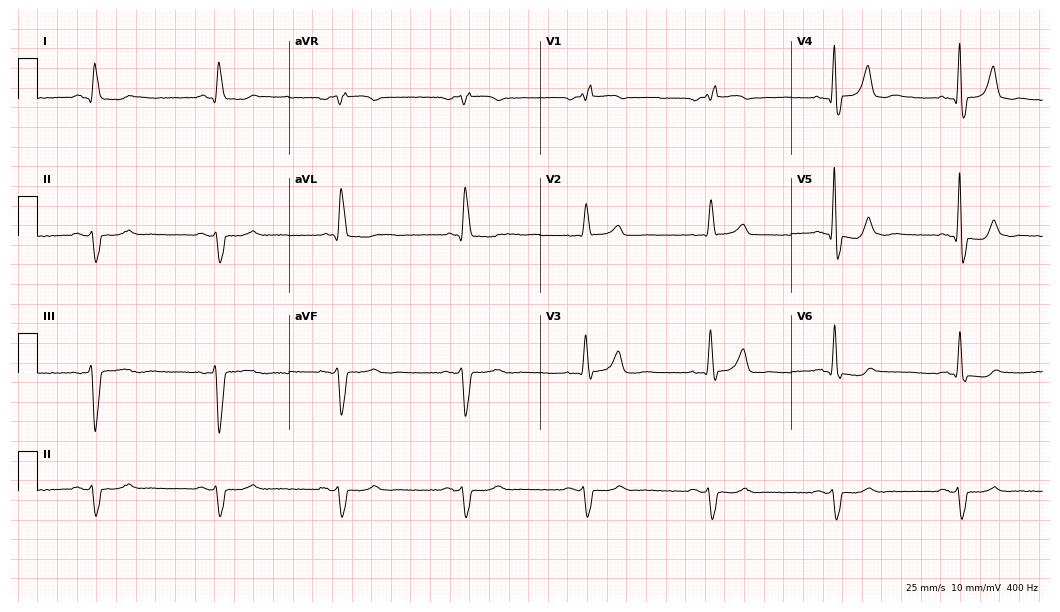
12-lead ECG from a 76-year-old man (10.2-second recording at 400 Hz). Shows right bundle branch block (RBBB), sinus bradycardia (a sinus rate of 50 beats per minute or less).